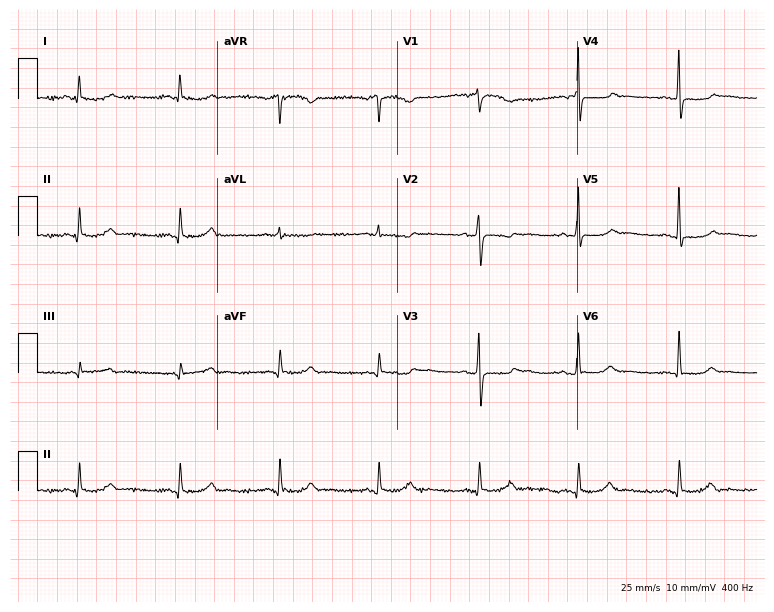
Standard 12-lead ECG recorded from a woman, 65 years old (7.3-second recording at 400 Hz). None of these six findings is recorded: first-degree AV block, right bundle branch block, left bundle branch block, sinus bradycardia, atrial fibrillation, sinus tachycardia. Findings outside these six are not listed.